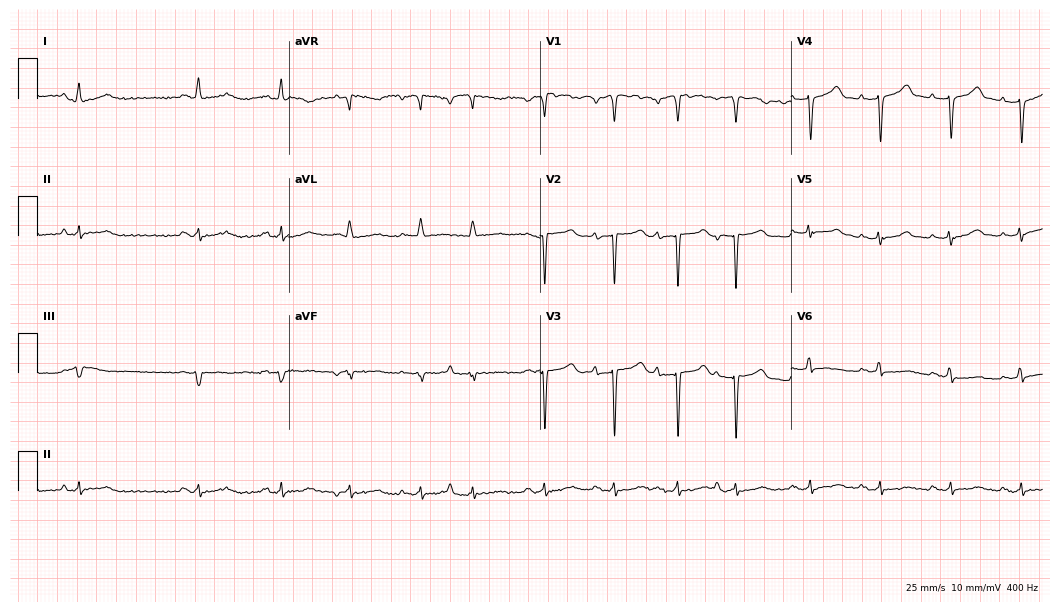
12-lead ECG (10.2-second recording at 400 Hz) from a female patient, 80 years old. Screened for six findings — first-degree AV block, right bundle branch block, left bundle branch block, sinus bradycardia, atrial fibrillation, sinus tachycardia — none is recorded. Only these six findings were labelled.